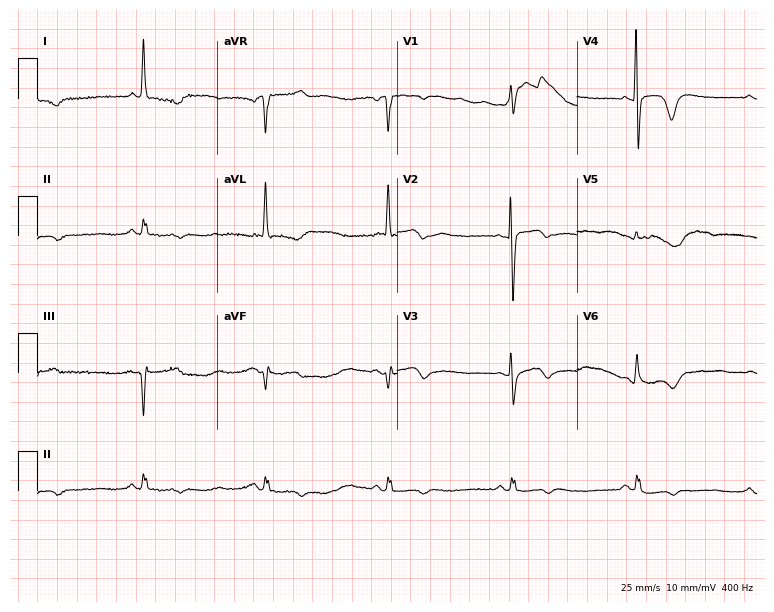
12-lead ECG from a woman, 82 years old. Shows sinus bradycardia (a sinus rate of 50 beats per minute or less).